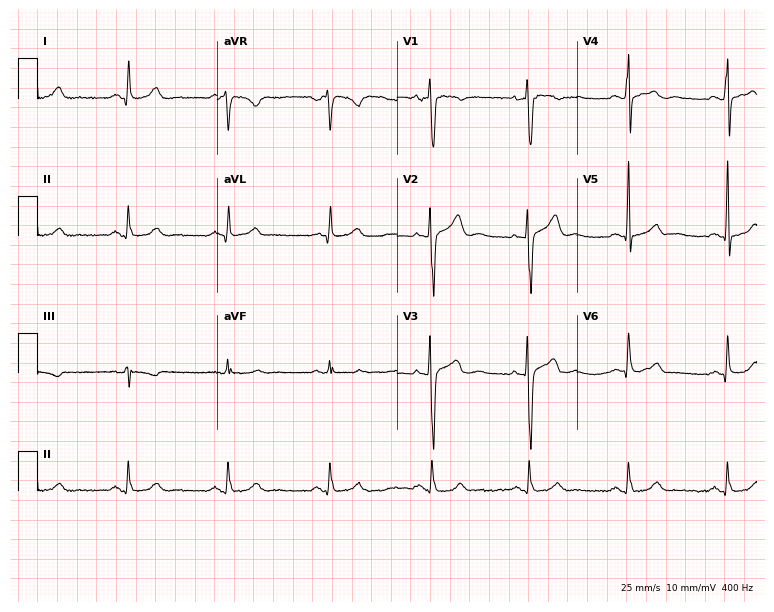
Resting 12-lead electrocardiogram (7.3-second recording at 400 Hz). Patient: a 33-year-old male. Read as a normal ECG.